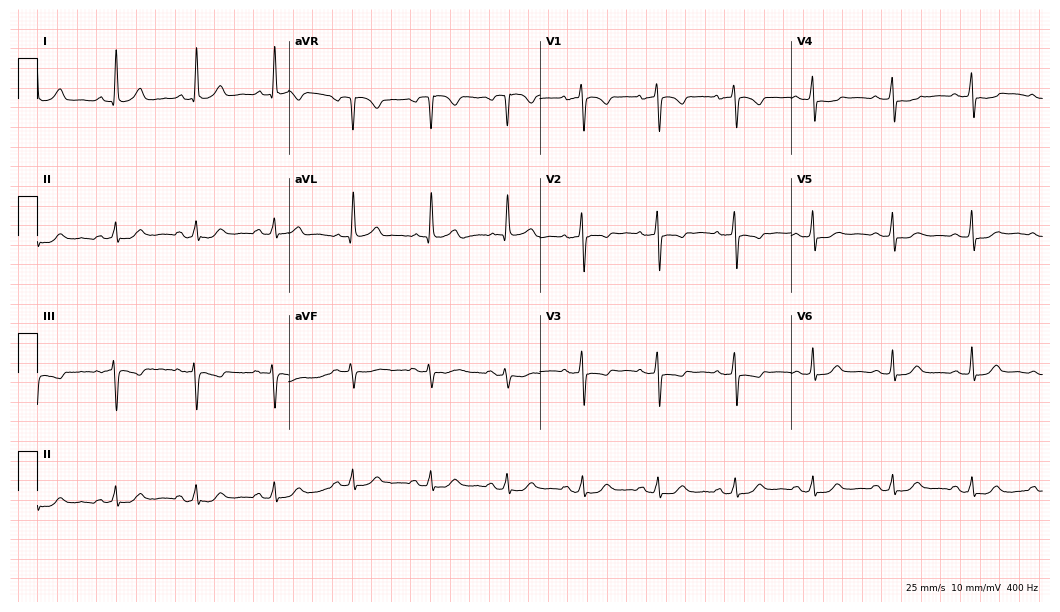
ECG (10.2-second recording at 400 Hz) — a 58-year-old woman. Screened for six findings — first-degree AV block, right bundle branch block, left bundle branch block, sinus bradycardia, atrial fibrillation, sinus tachycardia — none is recorded. Only these six findings were labelled.